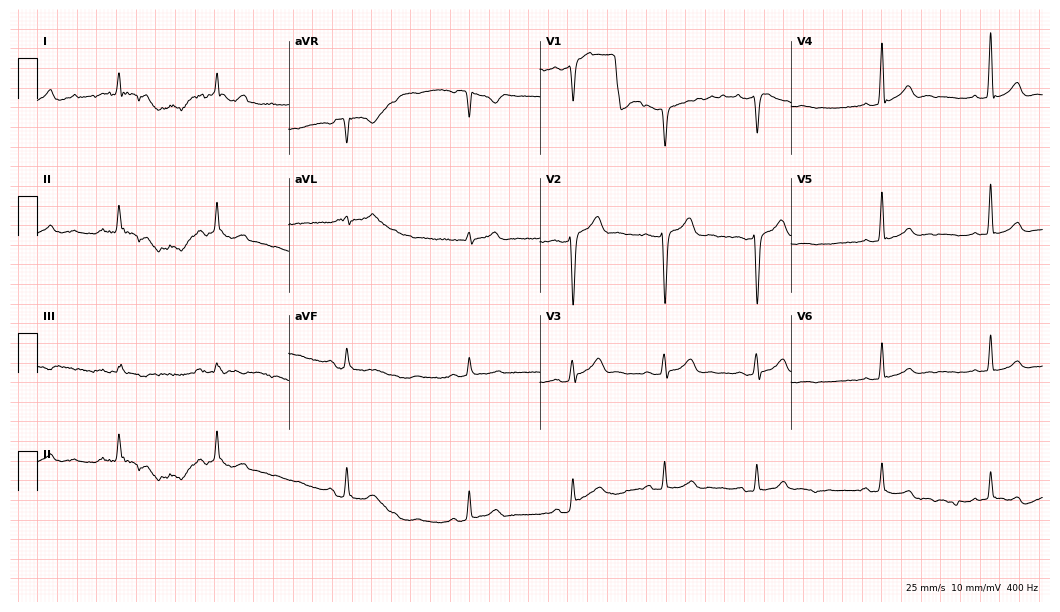
12-lead ECG from a 31-year-old female (10.2-second recording at 400 Hz). No first-degree AV block, right bundle branch block (RBBB), left bundle branch block (LBBB), sinus bradycardia, atrial fibrillation (AF) or sinus tachycardia recorded for this tracing. Findings outside these six are not listed.